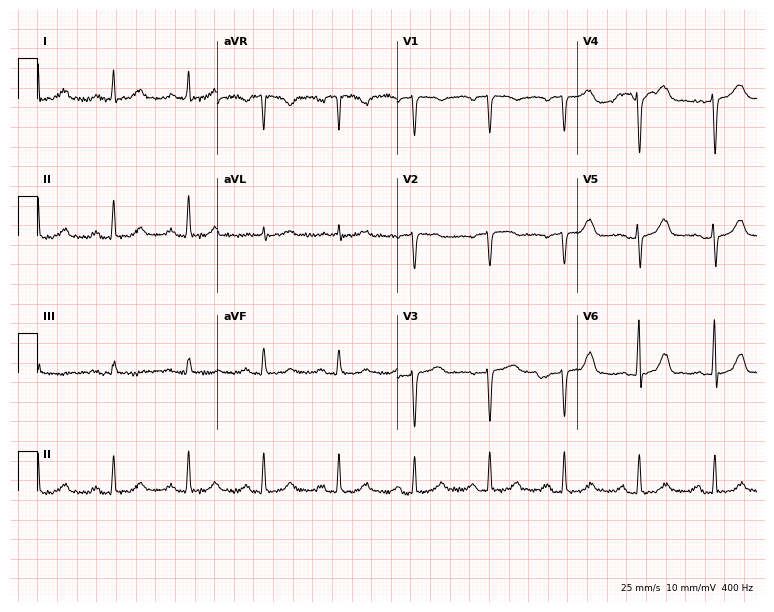
ECG — a 43-year-old female patient. Screened for six findings — first-degree AV block, right bundle branch block, left bundle branch block, sinus bradycardia, atrial fibrillation, sinus tachycardia — none is recorded. Findings outside these six are not listed.